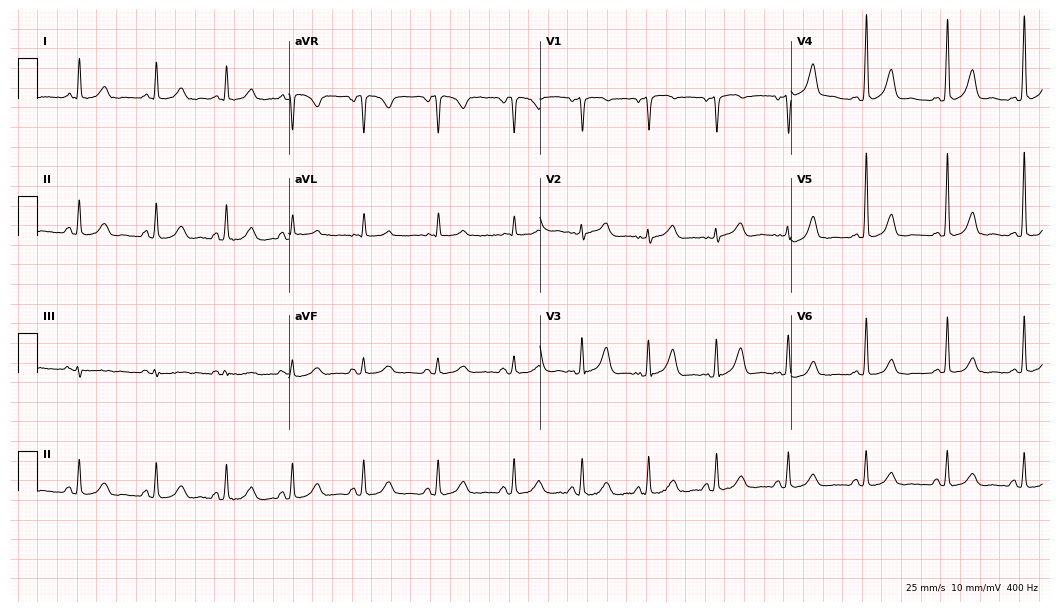
Electrocardiogram, a 58-year-old female patient. Overall reading on record: normal ECG.